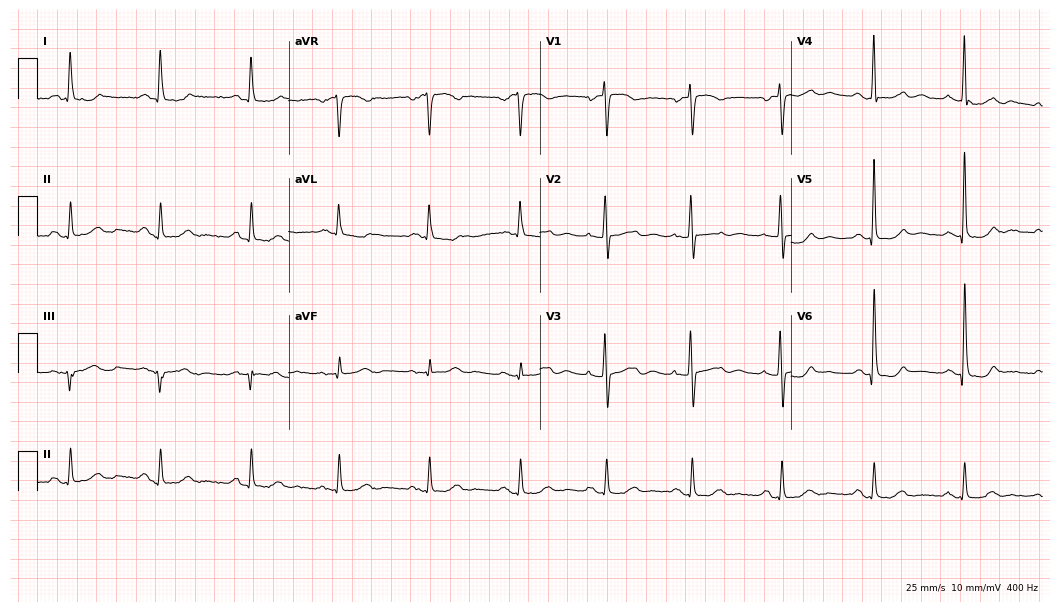
12-lead ECG from a female, 76 years old. Labelled as a normal ECG.